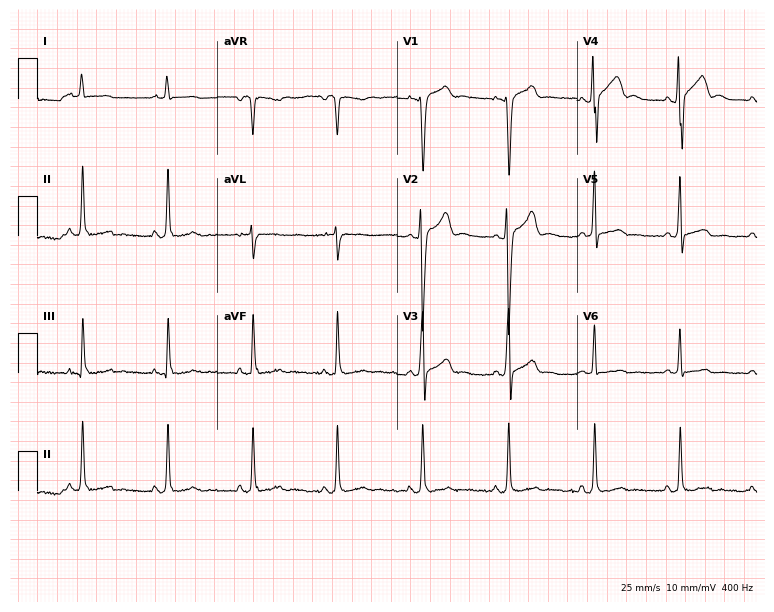
Electrocardiogram (7.3-second recording at 400 Hz), a 27-year-old male patient. Overall reading on record: normal ECG.